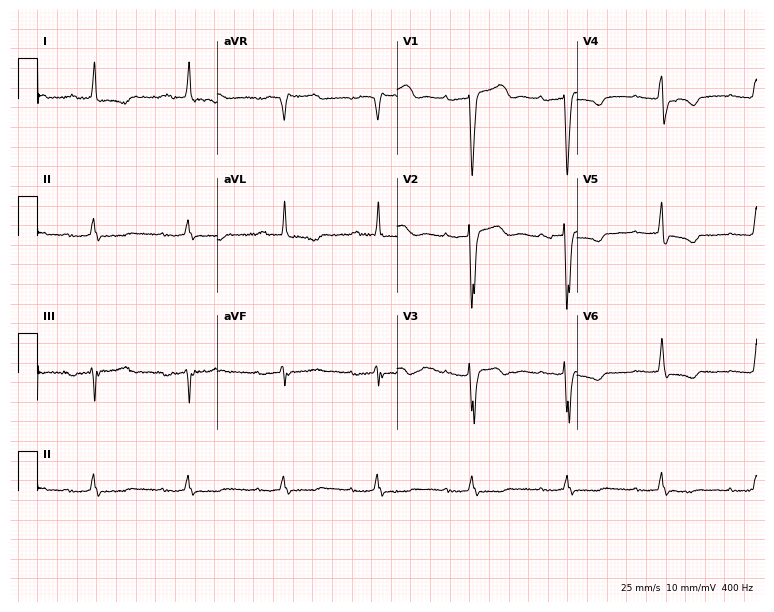
Resting 12-lead electrocardiogram. Patient: a 73-year-old man. None of these six findings is recorded: first-degree AV block, right bundle branch block, left bundle branch block, sinus bradycardia, atrial fibrillation, sinus tachycardia. Only these six findings were labelled.